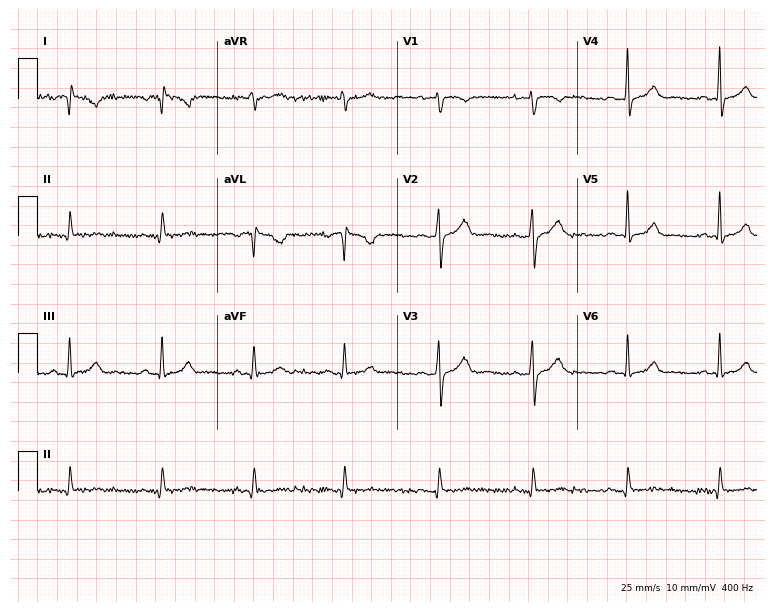
Resting 12-lead electrocardiogram. Patient: a 31-year-old female. None of these six findings is recorded: first-degree AV block, right bundle branch block (RBBB), left bundle branch block (LBBB), sinus bradycardia, atrial fibrillation (AF), sinus tachycardia.